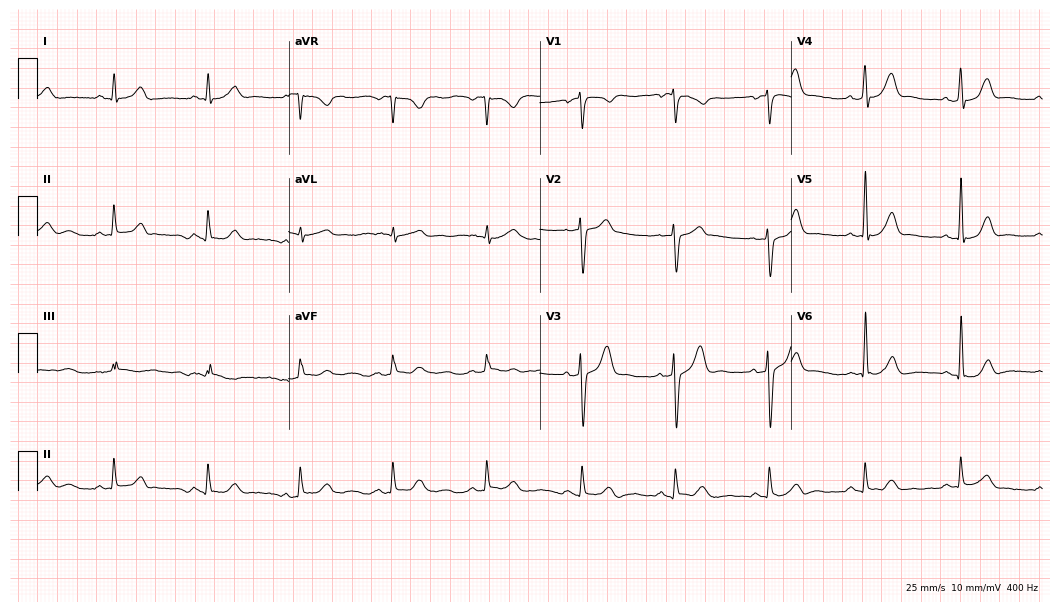
ECG (10.2-second recording at 400 Hz) — a 56-year-old male. Labelled as a normal ECG.